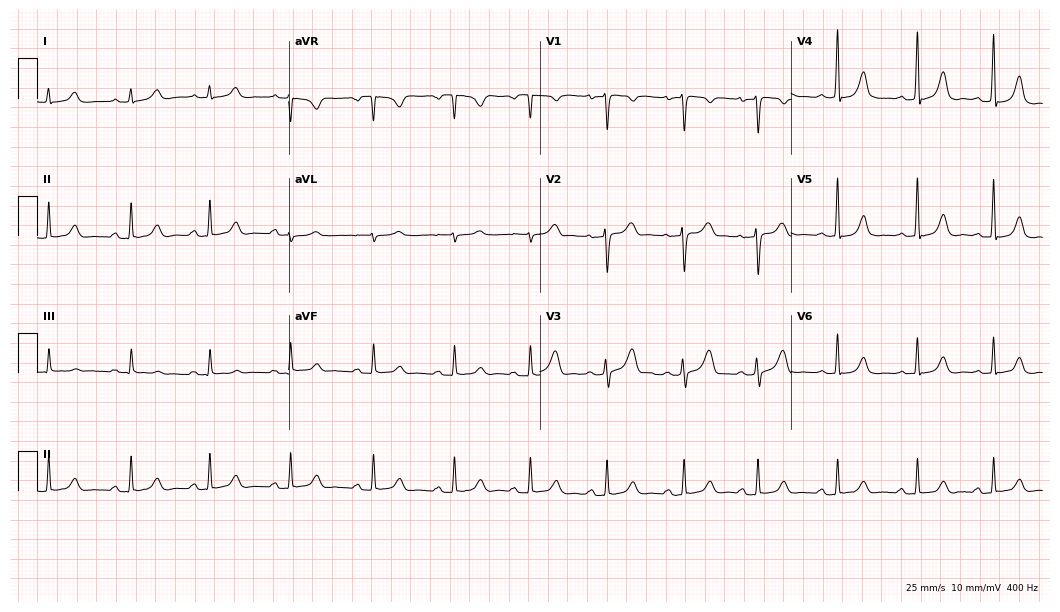
12-lead ECG from a 37-year-old woman (10.2-second recording at 400 Hz). Recorded interpretation: within normal limits.